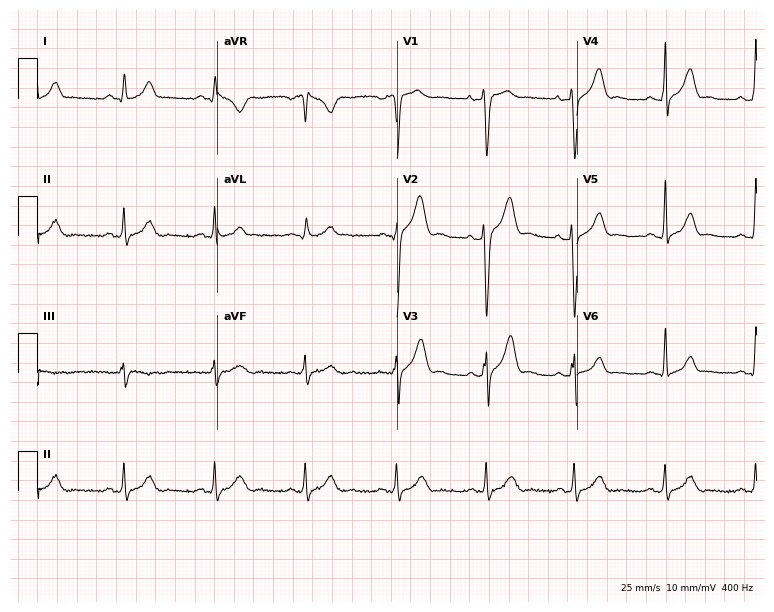
Electrocardiogram, a male, 29 years old. Overall reading on record: normal ECG.